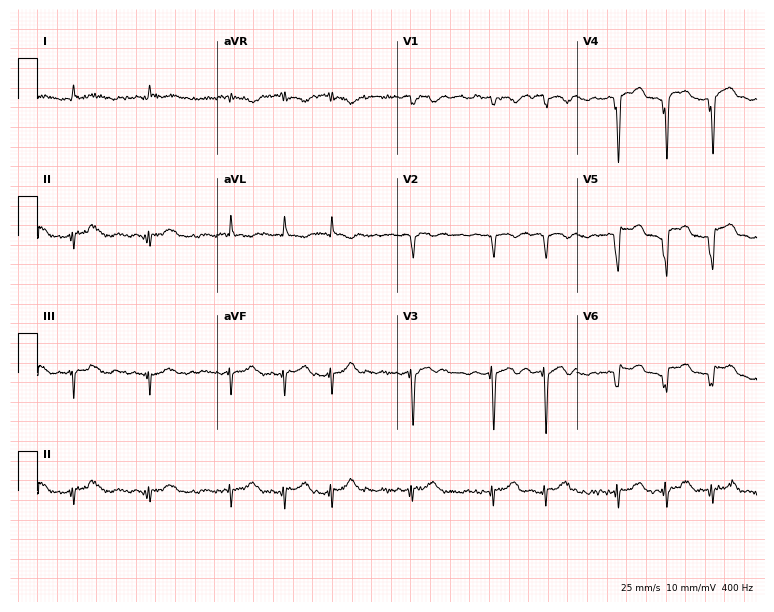
Resting 12-lead electrocardiogram. Patient: a 72-year-old female. None of these six findings is recorded: first-degree AV block, right bundle branch block, left bundle branch block, sinus bradycardia, atrial fibrillation, sinus tachycardia.